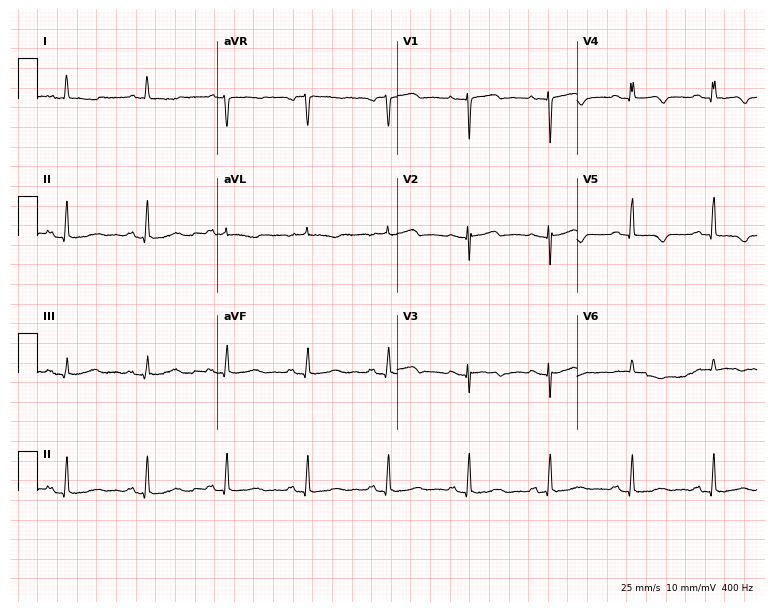
12-lead ECG from a woman, 76 years old. Screened for six findings — first-degree AV block, right bundle branch block, left bundle branch block, sinus bradycardia, atrial fibrillation, sinus tachycardia — none is recorded. Only these six findings were labelled.